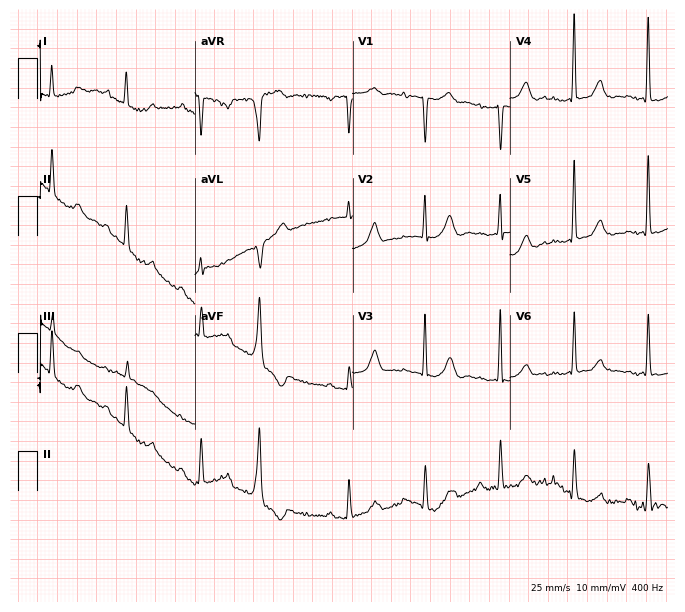
Electrocardiogram (6.4-second recording at 400 Hz), a female, 81 years old. Of the six screened findings (first-degree AV block, right bundle branch block, left bundle branch block, sinus bradycardia, atrial fibrillation, sinus tachycardia), none is recorded. Other findings, if any, are not listed.